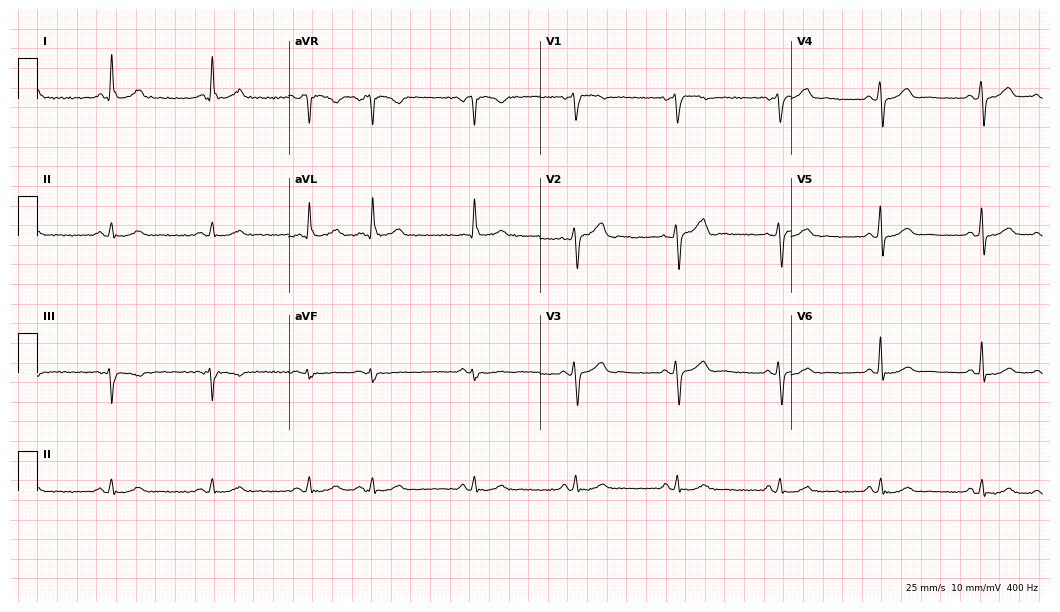
12-lead ECG from a 64-year-old male. Recorded interpretation: within normal limits.